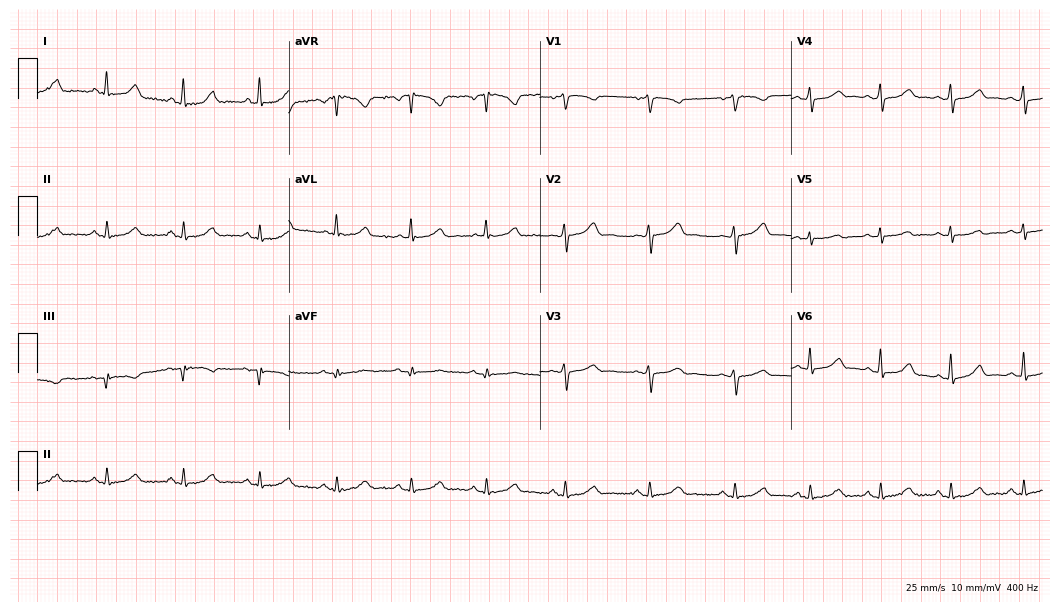
Electrocardiogram (10.2-second recording at 400 Hz), a 55-year-old woman. Overall reading on record: normal ECG.